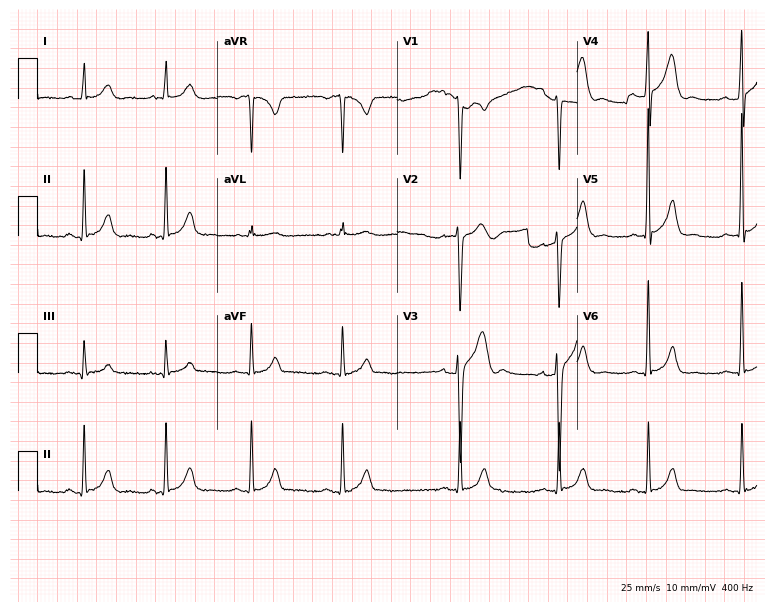
Electrocardiogram, a male, 28 years old. Overall reading on record: normal ECG.